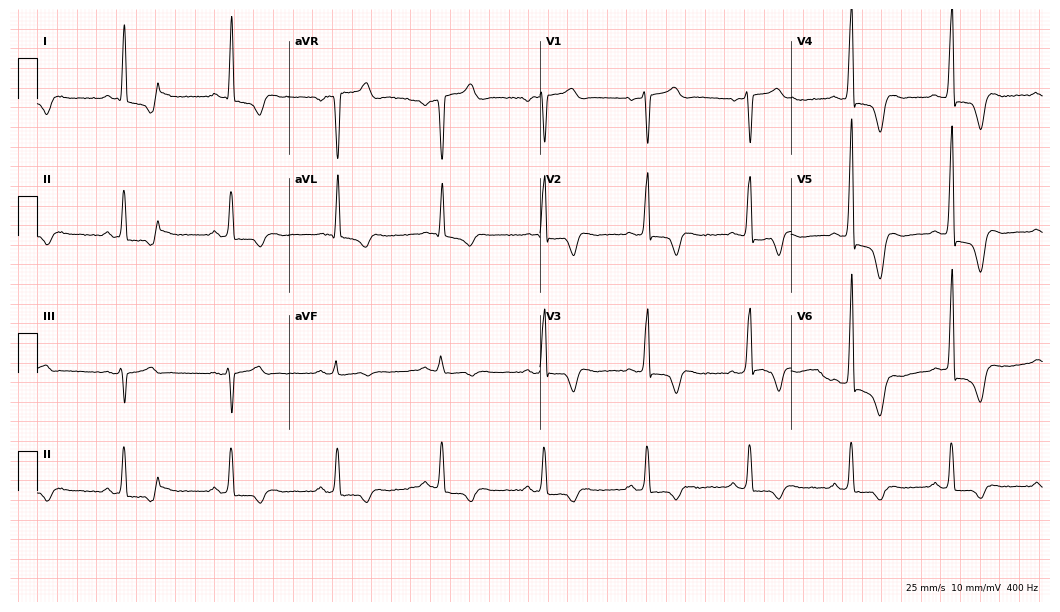
12-lead ECG from a 56-year-old male. Screened for six findings — first-degree AV block, right bundle branch block (RBBB), left bundle branch block (LBBB), sinus bradycardia, atrial fibrillation (AF), sinus tachycardia — none is recorded.